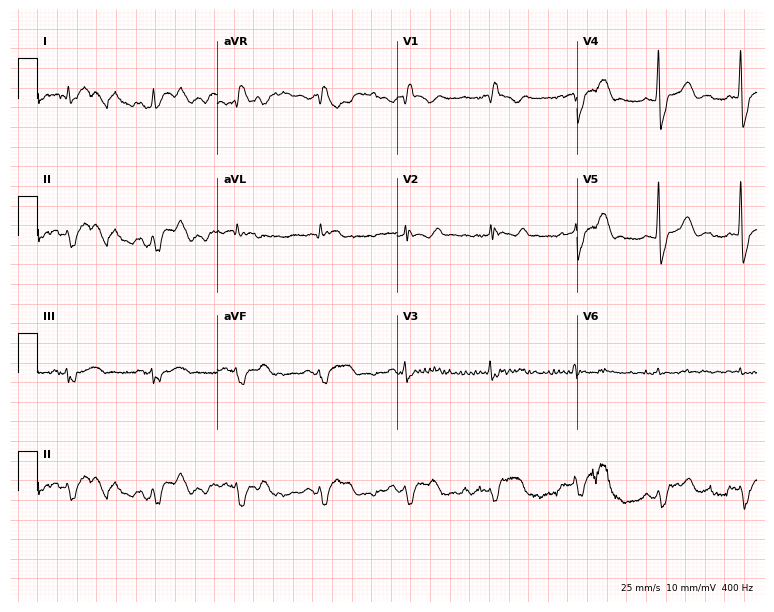
12-lead ECG from a 74-year-old woman. Screened for six findings — first-degree AV block, right bundle branch block, left bundle branch block, sinus bradycardia, atrial fibrillation, sinus tachycardia — none is recorded.